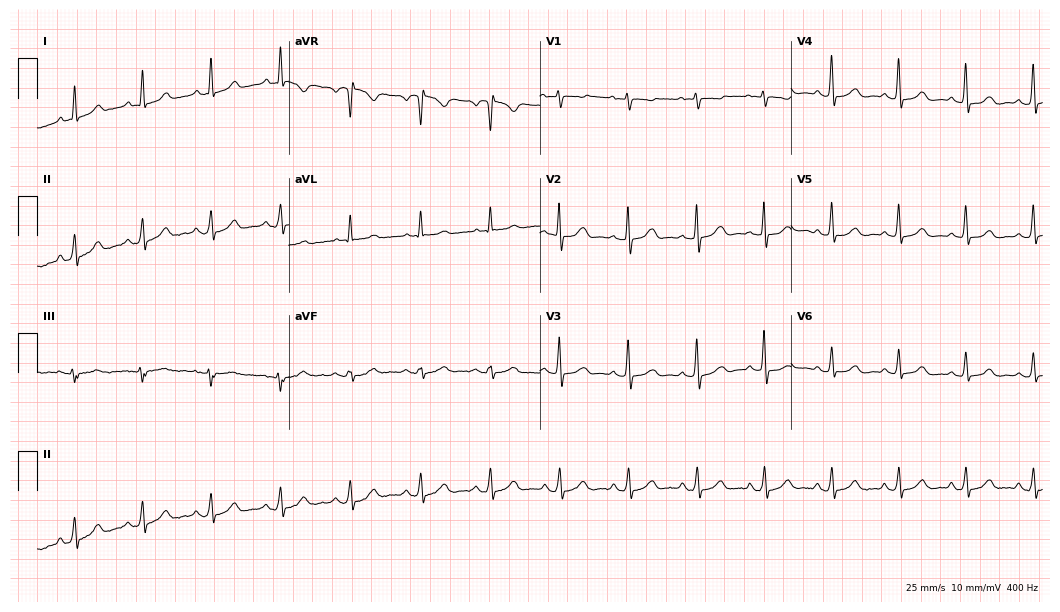
Electrocardiogram, a 49-year-old woman. Overall reading on record: normal ECG.